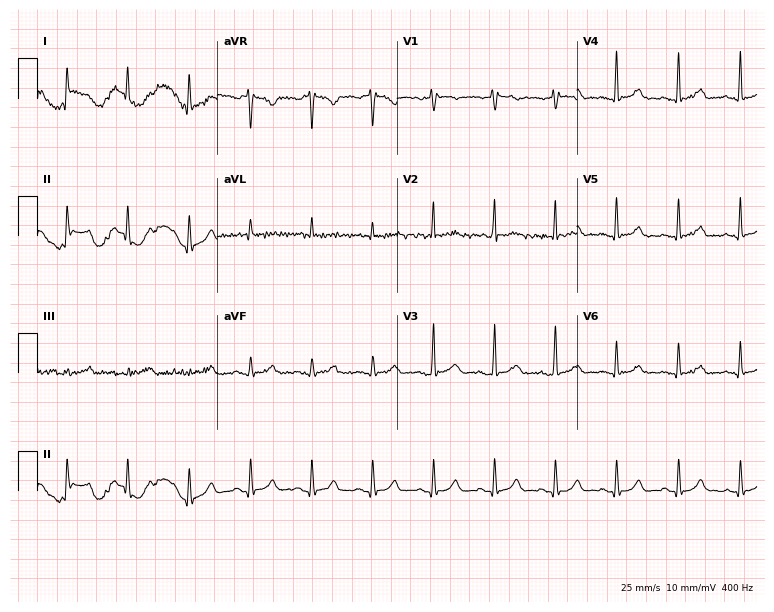
ECG (7.3-second recording at 400 Hz) — a male patient, 36 years old. Labelled as a normal ECG.